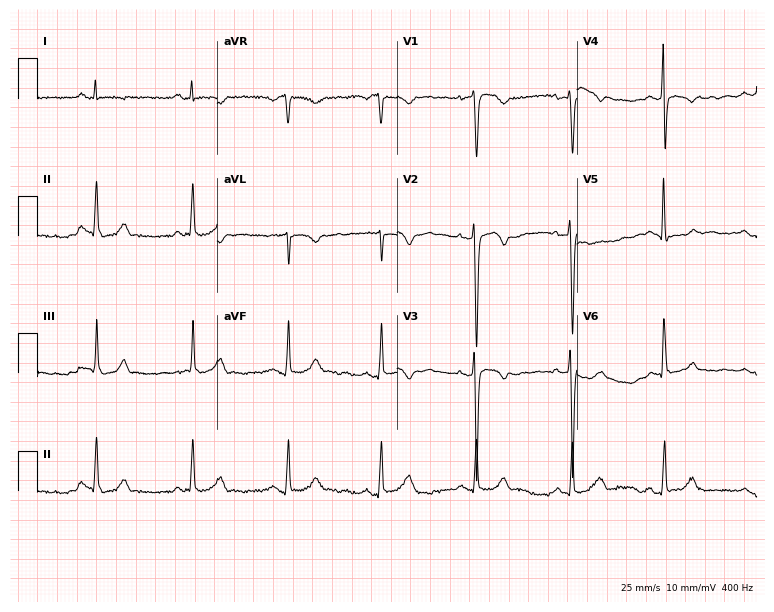
Electrocardiogram (7.3-second recording at 400 Hz), a 52-year-old female patient. Of the six screened findings (first-degree AV block, right bundle branch block, left bundle branch block, sinus bradycardia, atrial fibrillation, sinus tachycardia), none is recorded.